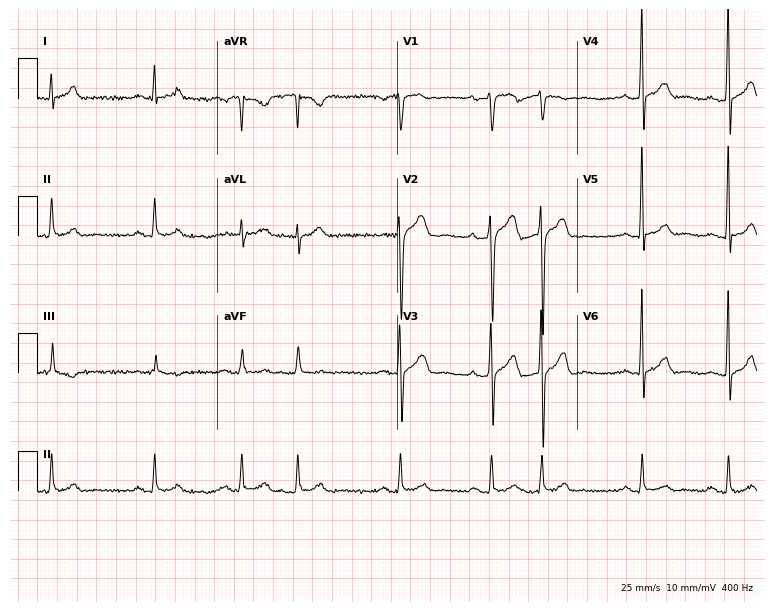
ECG (7.3-second recording at 400 Hz) — a 45-year-old male patient. Screened for six findings — first-degree AV block, right bundle branch block, left bundle branch block, sinus bradycardia, atrial fibrillation, sinus tachycardia — none is recorded. Other findings, if any, are not listed.